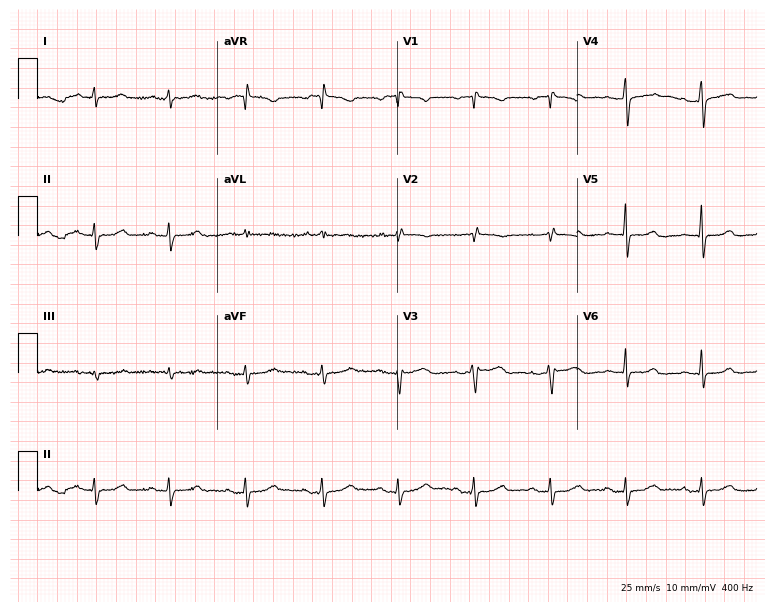
12-lead ECG from a woman, 37 years old. Screened for six findings — first-degree AV block, right bundle branch block, left bundle branch block, sinus bradycardia, atrial fibrillation, sinus tachycardia — none is recorded. Only these six findings were labelled.